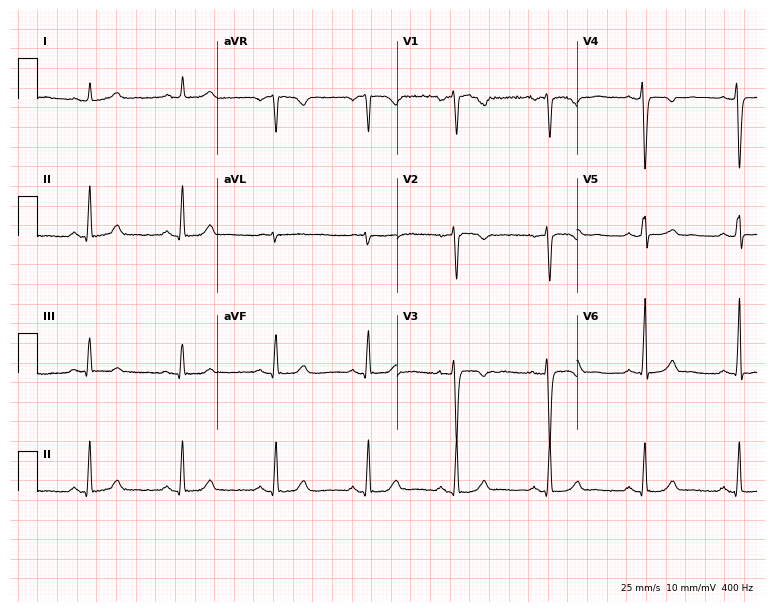
Standard 12-lead ECG recorded from a female, 42 years old (7.3-second recording at 400 Hz). None of these six findings is recorded: first-degree AV block, right bundle branch block, left bundle branch block, sinus bradycardia, atrial fibrillation, sinus tachycardia. Findings outside these six are not listed.